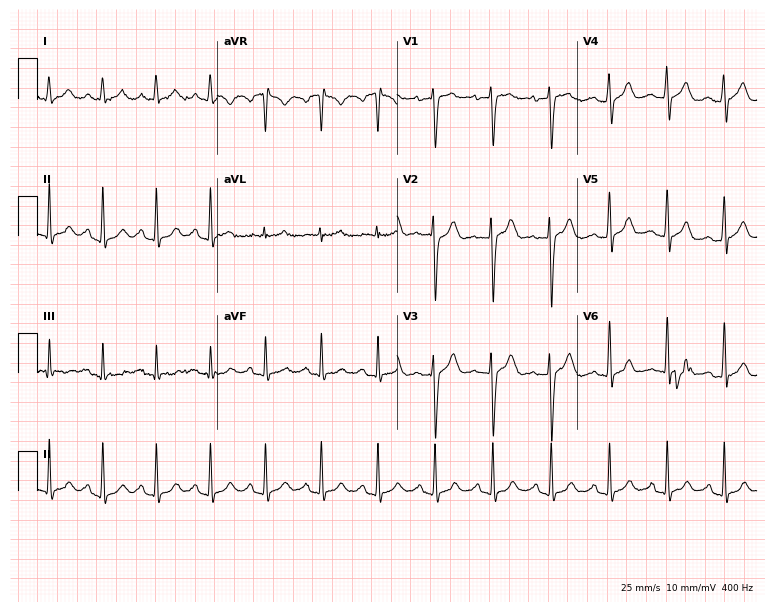
ECG (7.3-second recording at 400 Hz) — a 22-year-old male. Labelled as a normal ECG.